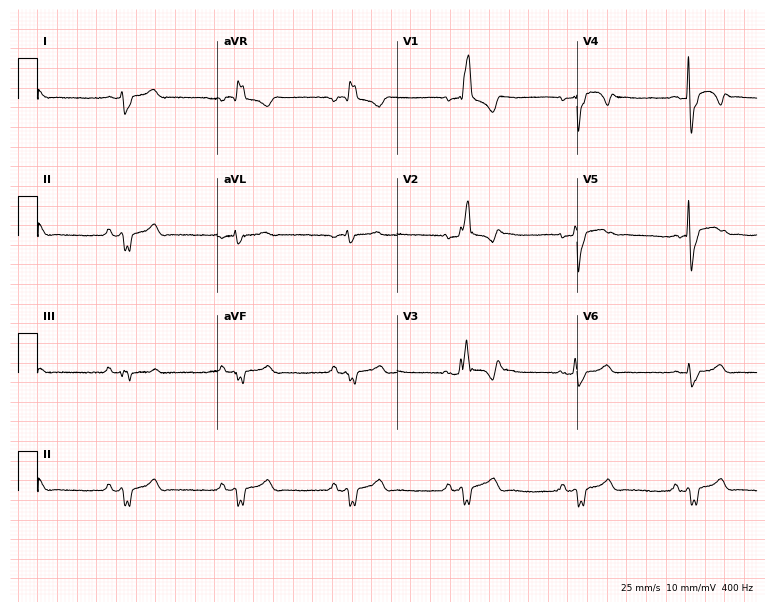
Standard 12-lead ECG recorded from a man, 54 years old. The tracing shows right bundle branch block (RBBB).